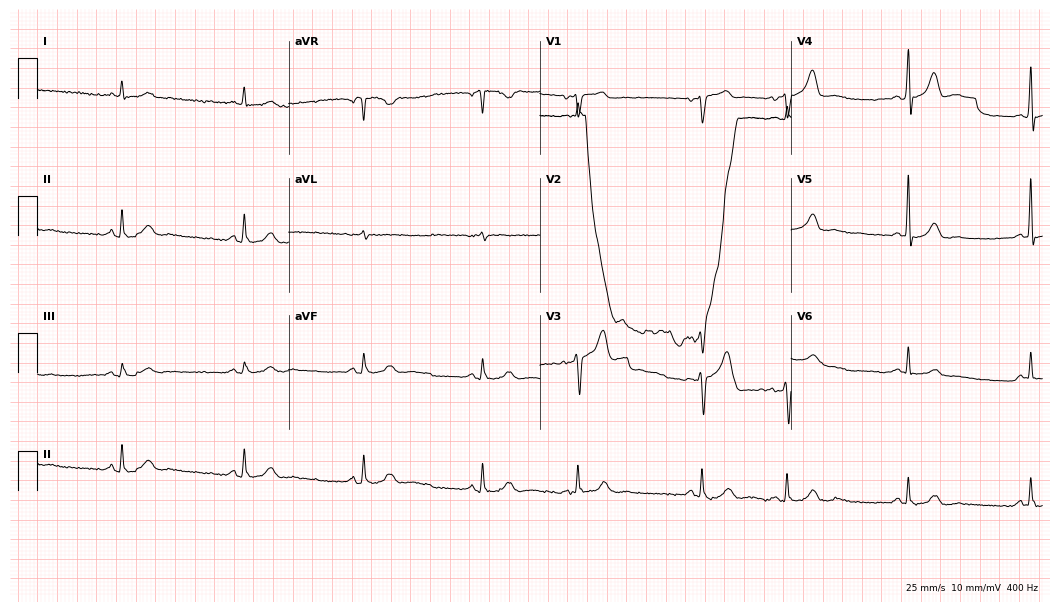
ECG — an 80-year-old man. Screened for six findings — first-degree AV block, right bundle branch block, left bundle branch block, sinus bradycardia, atrial fibrillation, sinus tachycardia — none is recorded.